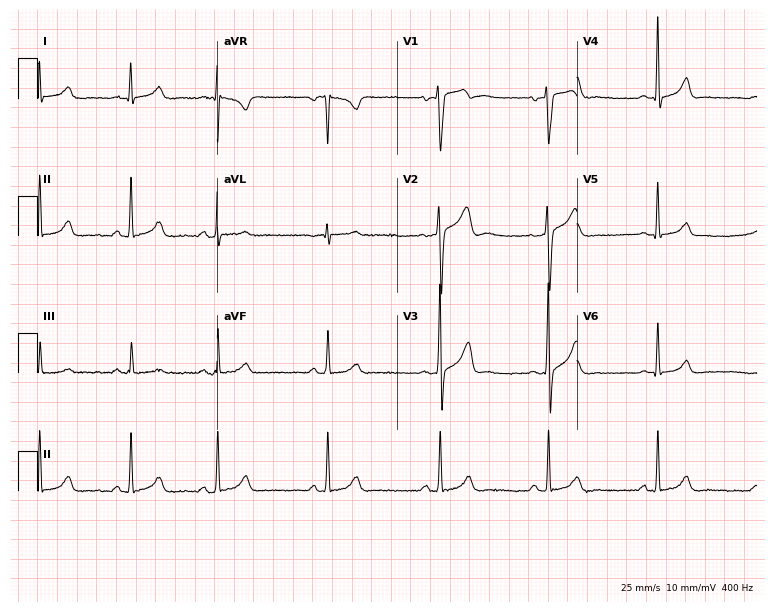
Electrocardiogram (7.3-second recording at 400 Hz), a 39-year-old male. Of the six screened findings (first-degree AV block, right bundle branch block (RBBB), left bundle branch block (LBBB), sinus bradycardia, atrial fibrillation (AF), sinus tachycardia), none is recorded.